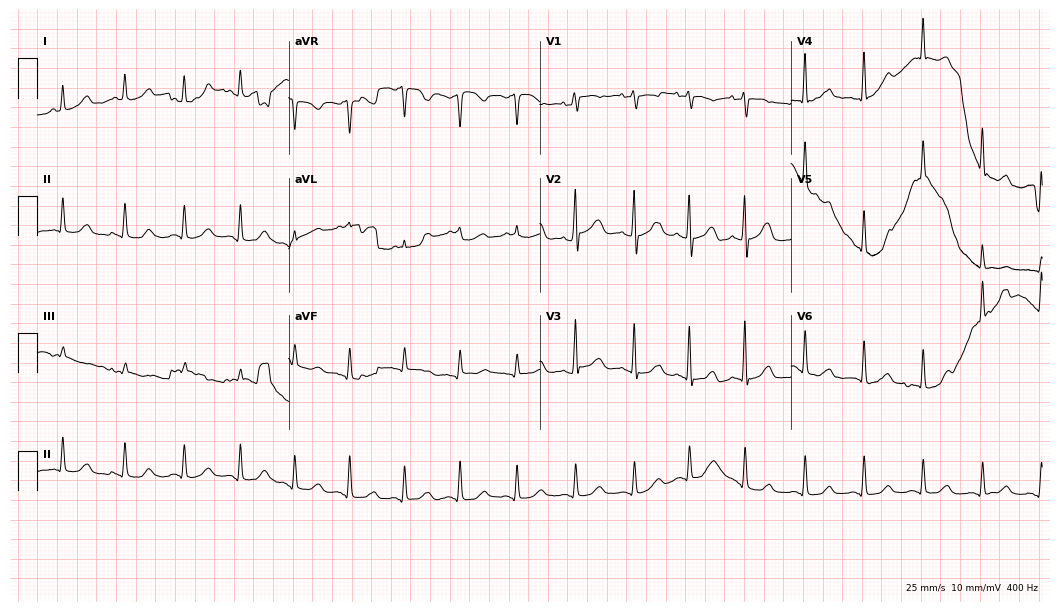
ECG — a 69-year-old female patient. Findings include sinus tachycardia (a sinus rate of 100 beats per minute or more).